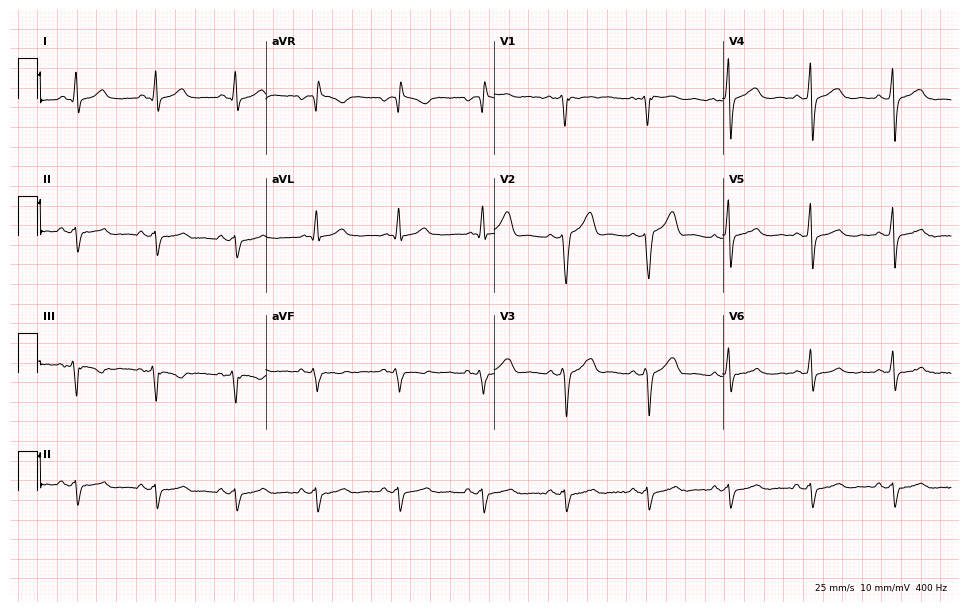
Electrocardiogram (9.3-second recording at 400 Hz), a 61-year-old male patient. Of the six screened findings (first-degree AV block, right bundle branch block, left bundle branch block, sinus bradycardia, atrial fibrillation, sinus tachycardia), none is recorded.